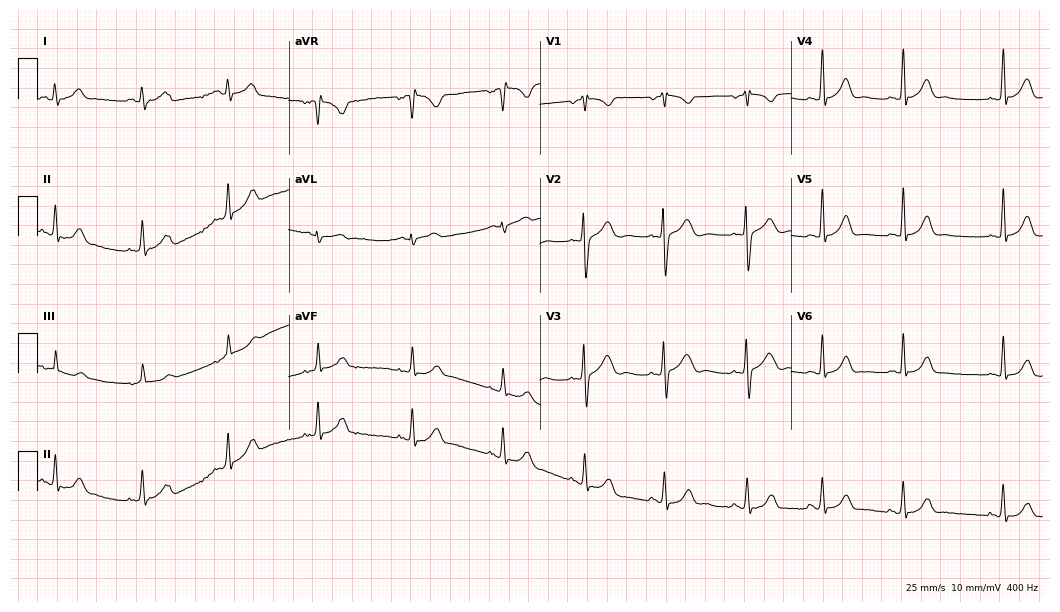
Electrocardiogram, a female, 25 years old. Overall reading on record: normal ECG.